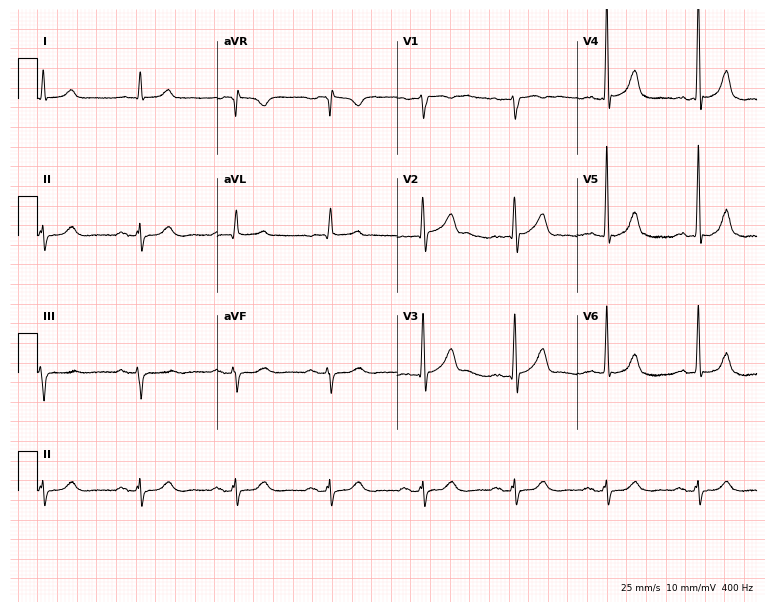
ECG (7.3-second recording at 400 Hz) — a 78-year-old man. Labelled as a normal ECG.